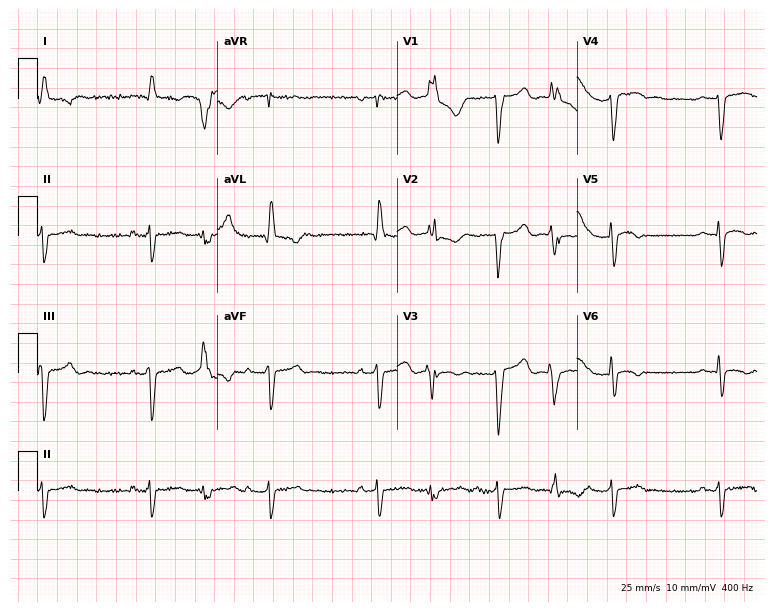
Electrocardiogram, a 37-year-old female patient. Of the six screened findings (first-degree AV block, right bundle branch block (RBBB), left bundle branch block (LBBB), sinus bradycardia, atrial fibrillation (AF), sinus tachycardia), none is recorded. Only these six findings were labelled.